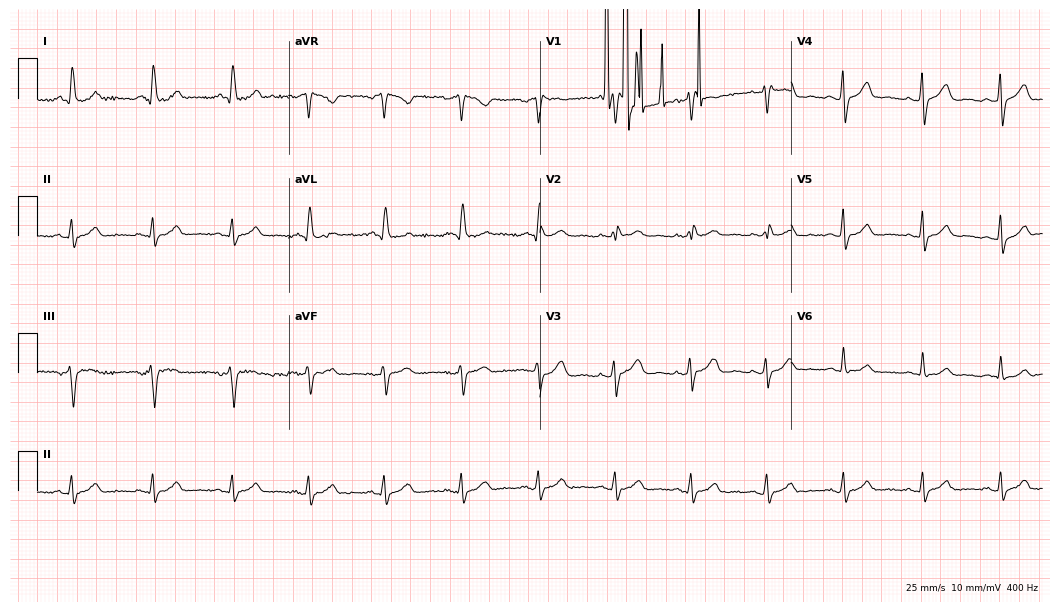
Standard 12-lead ECG recorded from a 54-year-old female patient (10.2-second recording at 400 Hz). None of these six findings is recorded: first-degree AV block, right bundle branch block, left bundle branch block, sinus bradycardia, atrial fibrillation, sinus tachycardia.